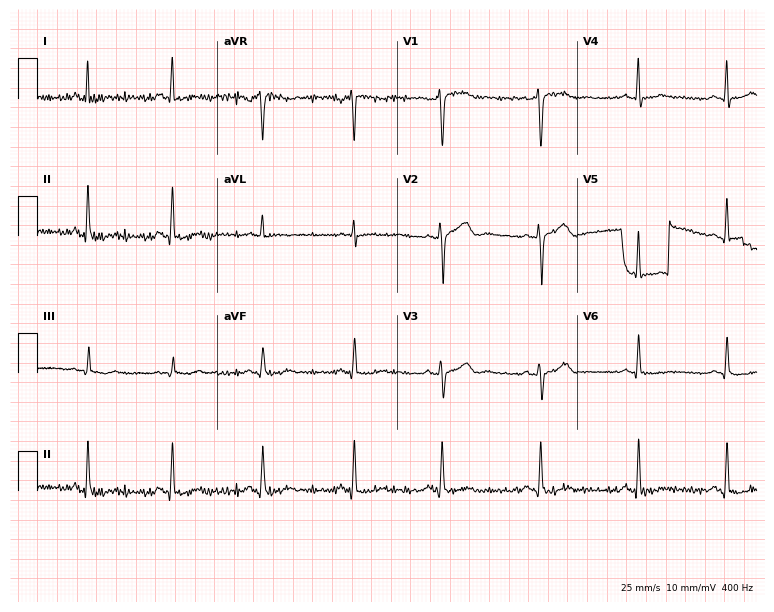
12-lead ECG from a woman, 42 years old (7.3-second recording at 400 Hz). Recorded interpretation: within normal limits.